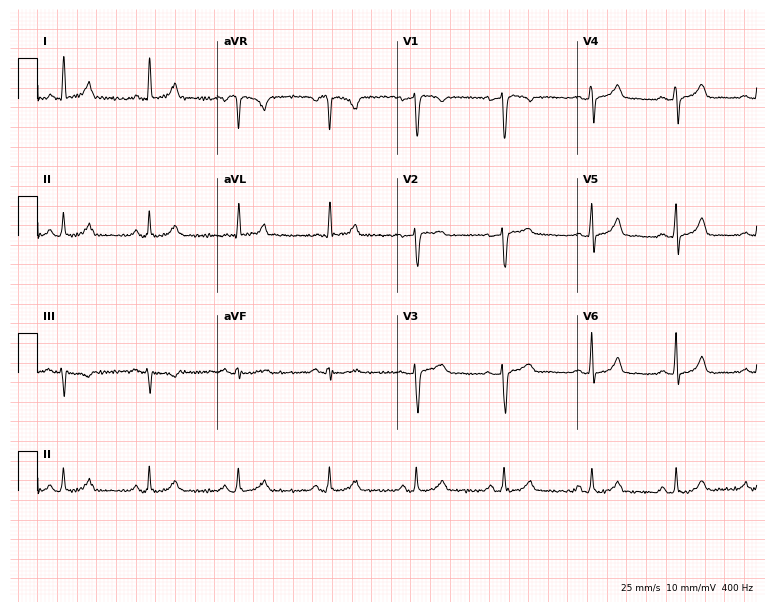
Electrocardiogram, a 41-year-old female. Overall reading on record: normal ECG.